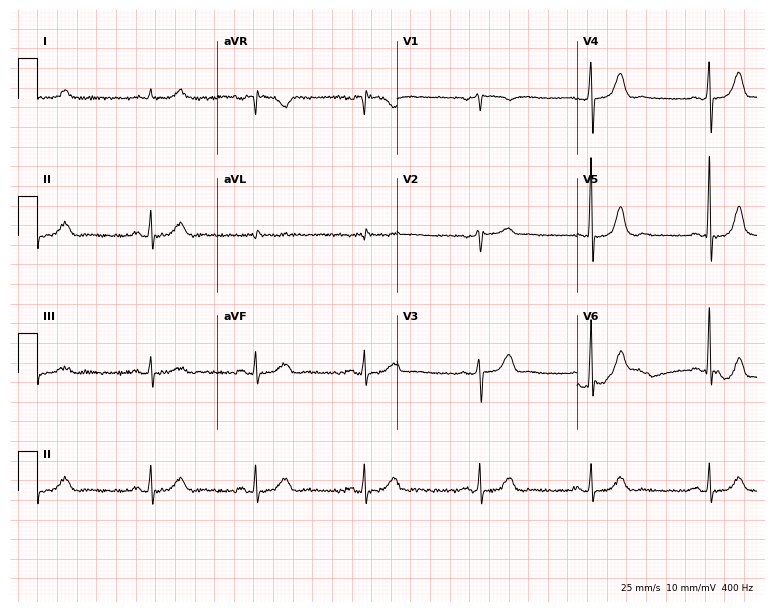
Resting 12-lead electrocardiogram (7.3-second recording at 400 Hz). Patient: a female, 63 years old. None of these six findings is recorded: first-degree AV block, right bundle branch block (RBBB), left bundle branch block (LBBB), sinus bradycardia, atrial fibrillation (AF), sinus tachycardia.